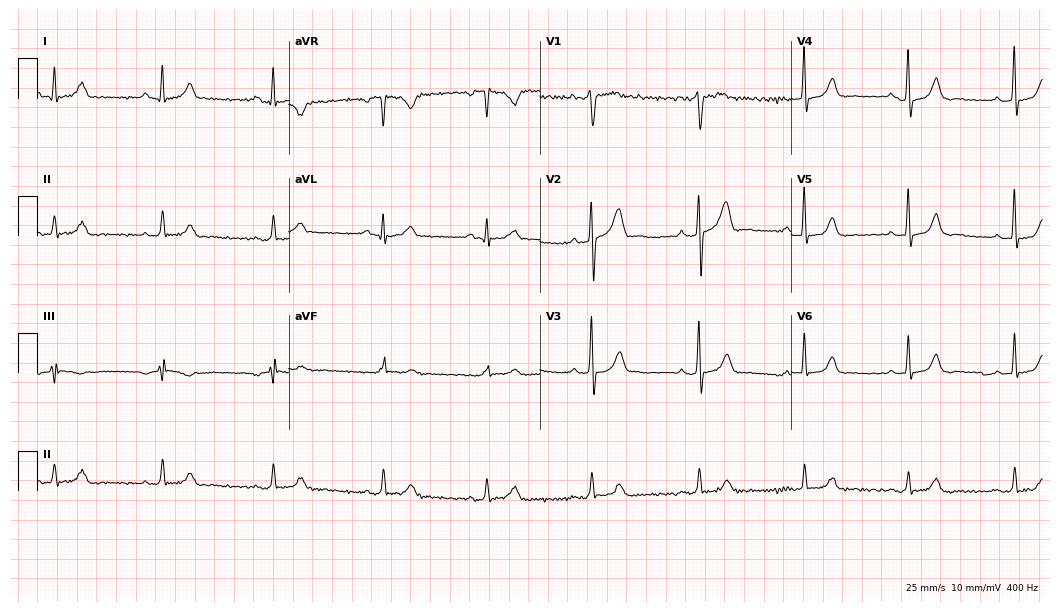
ECG (10.2-second recording at 400 Hz) — a 37-year-old male. Labelled as a normal ECG.